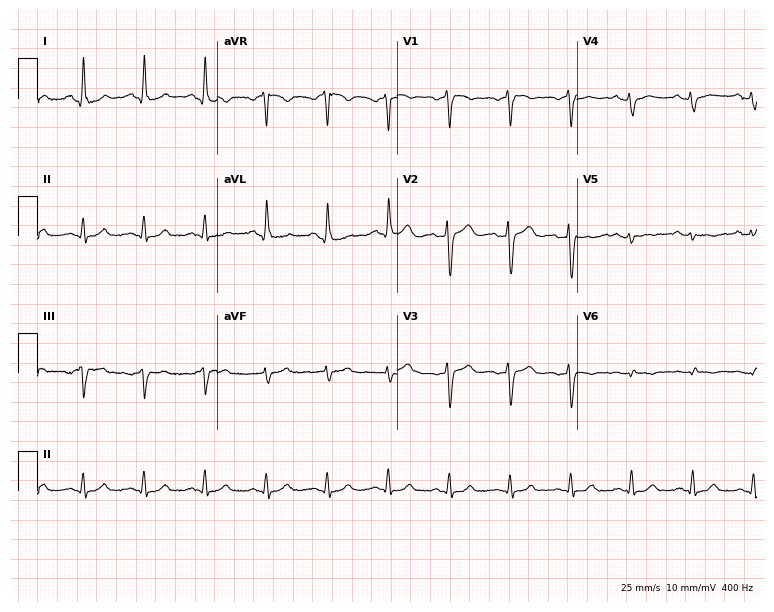
Electrocardiogram (7.3-second recording at 400 Hz), a male, 54 years old. Of the six screened findings (first-degree AV block, right bundle branch block, left bundle branch block, sinus bradycardia, atrial fibrillation, sinus tachycardia), none is recorded. Findings outside these six are not listed.